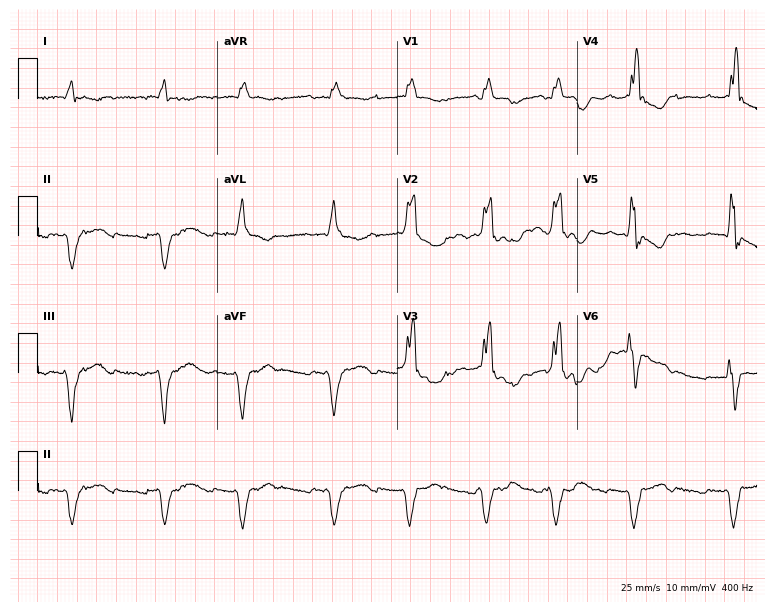
12-lead ECG from a 77-year-old man. Findings include right bundle branch block (RBBB), left bundle branch block (LBBB), atrial fibrillation (AF).